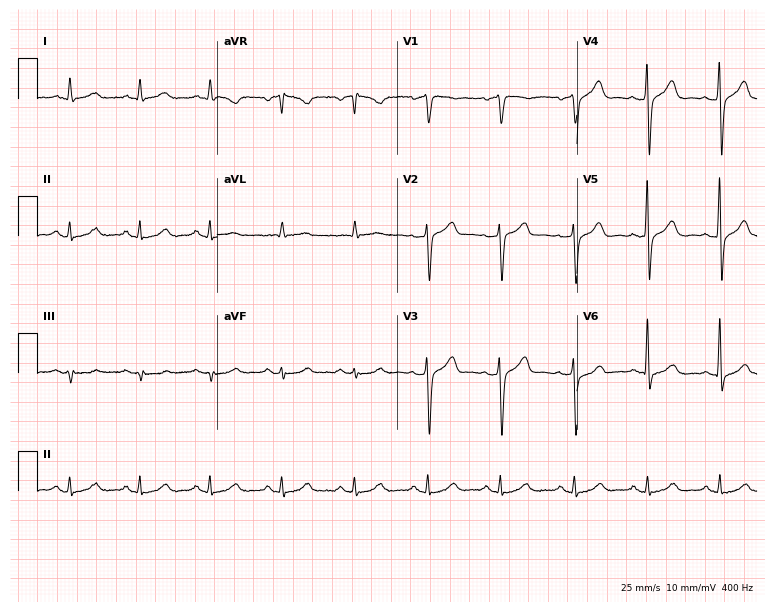
Standard 12-lead ECG recorded from a male patient, 59 years old. Read as a normal ECG.